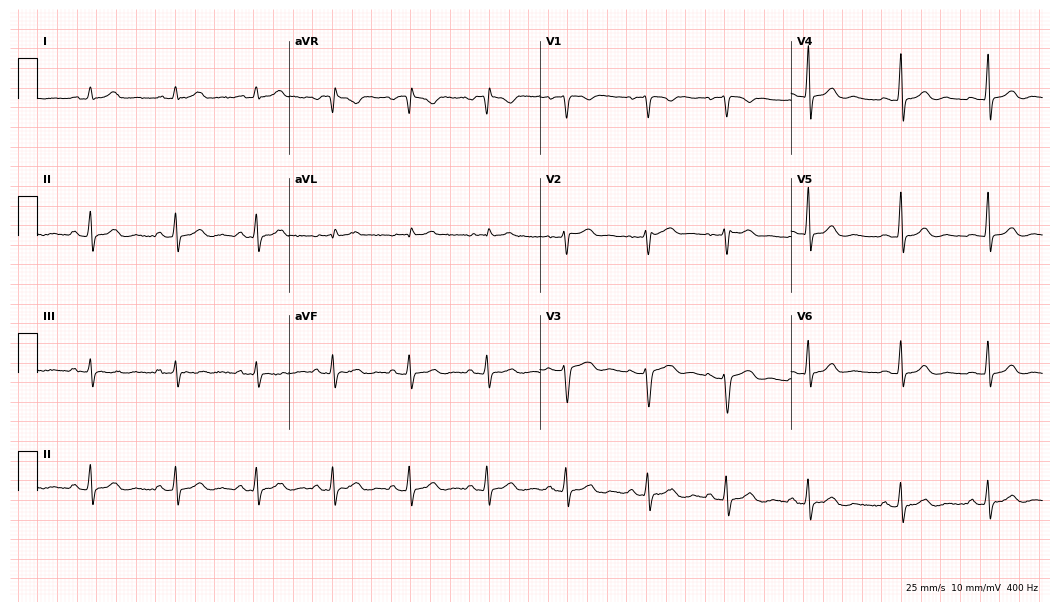
12-lead ECG (10.2-second recording at 400 Hz) from a 38-year-old female. Screened for six findings — first-degree AV block, right bundle branch block, left bundle branch block, sinus bradycardia, atrial fibrillation, sinus tachycardia — none is recorded. Other findings, if any, are not listed.